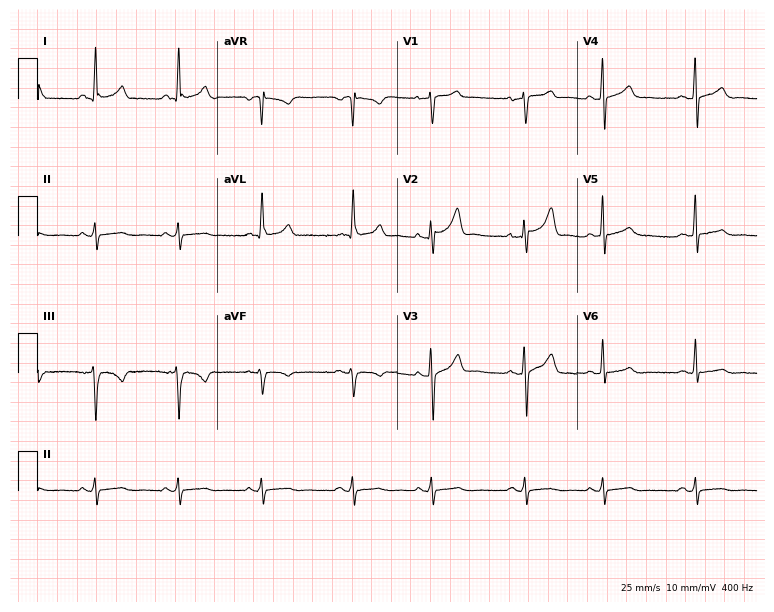
Standard 12-lead ECG recorded from a male, 44 years old (7.3-second recording at 400 Hz). None of these six findings is recorded: first-degree AV block, right bundle branch block, left bundle branch block, sinus bradycardia, atrial fibrillation, sinus tachycardia.